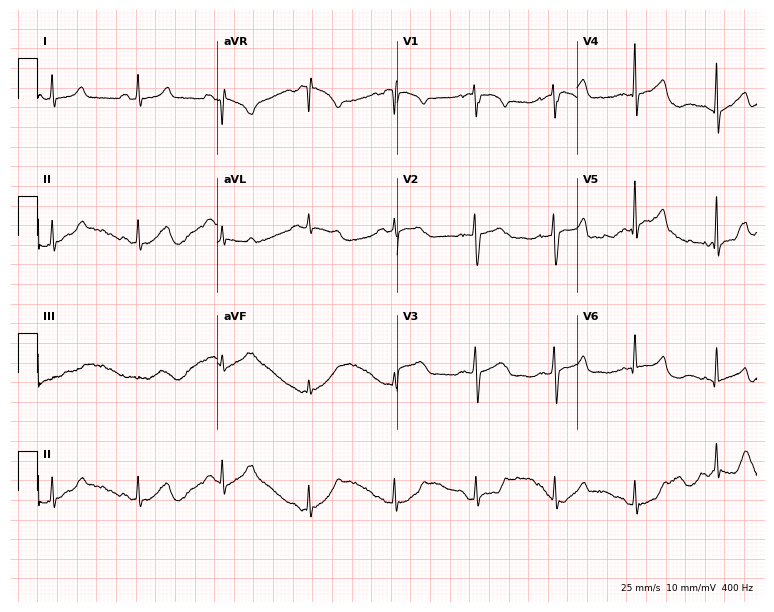
Resting 12-lead electrocardiogram (7.3-second recording at 400 Hz). Patient: a female, 40 years old. Read as a normal ECG.